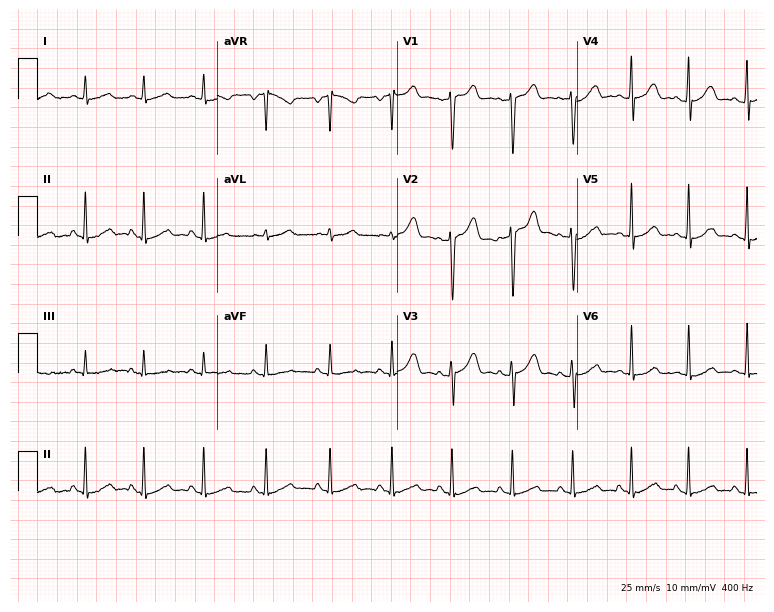
Standard 12-lead ECG recorded from a 35-year-old female. None of these six findings is recorded: first-degree AV block, right bundle branch block (RBBB), left bundle branch block (LBBB), sinus bradycardia, atrial fibrillation (AF), sinus tachycardia. Only these six findings were labelled.